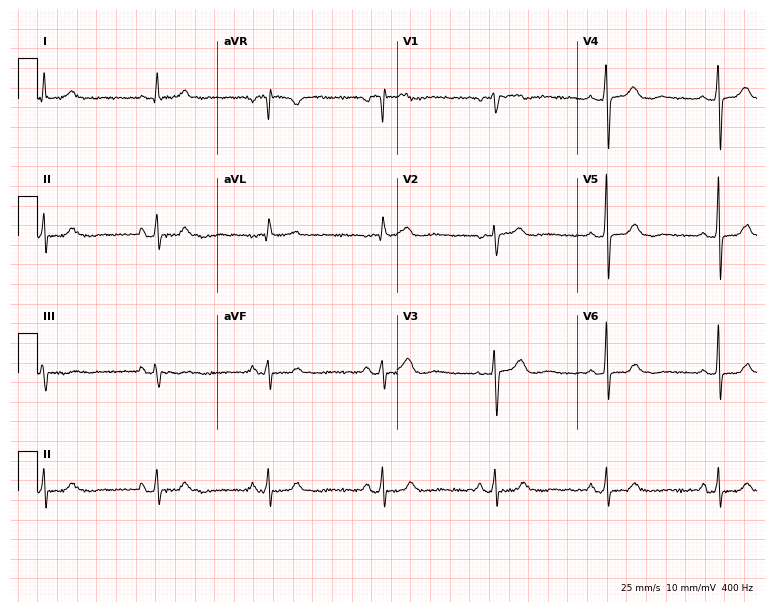
12-lead ECG from a female patient, 70 years old. Screened for six findings — first-degree AV block, right bundle branch block, left bundle branch block, sinus bradycardia, atrial fibrillation, sinus tachycardia — none is recorded.